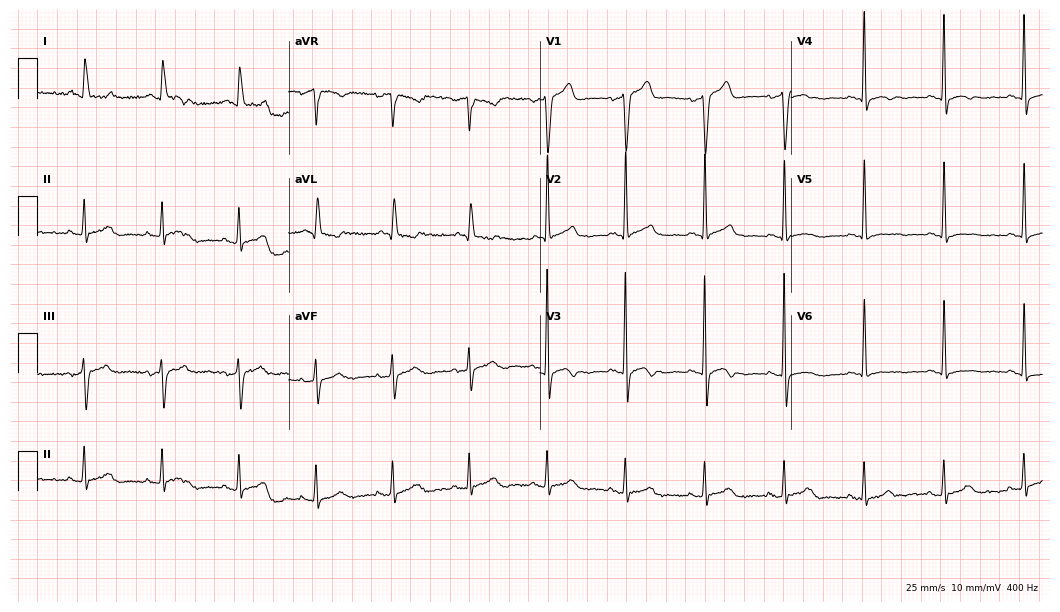
Electrocardiogram (10.2-second recording at 400 Hz), a 77-year-old man. Of the six screened findings (first-degree AV block, right bundle branch block, left bundle branch block, sinus bradycardia, atrial fibrillation, sinus tachycardia), none is recorded. Only these six findings were labelled.